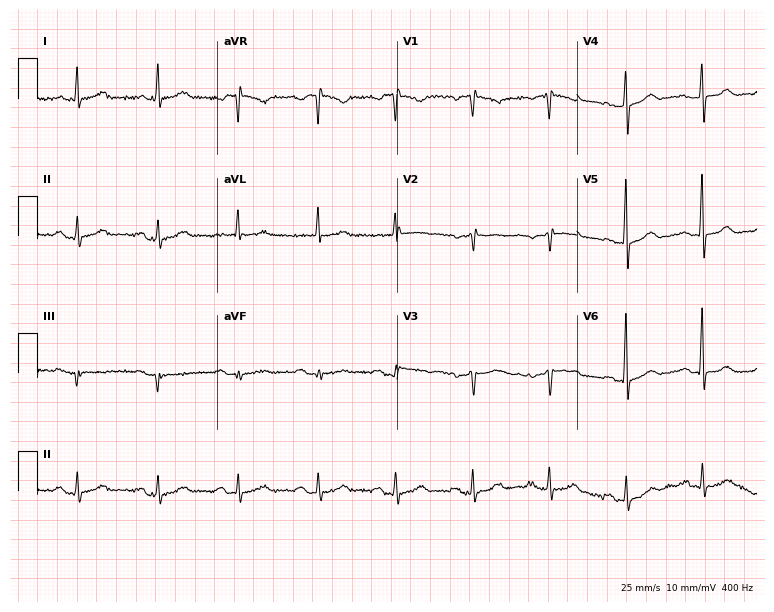
Electrocardiogram (7.3-second recording at 400 Hz), a 71-year-old female. Of the six screened findings (first-degree AV block, right bundle branch block (RBBB), left bundle branch block (LBBB), sinus bradycardia, atrial fibrillation (AF), sinus tachycardia), none is recorded. Only these six findings were labelled.